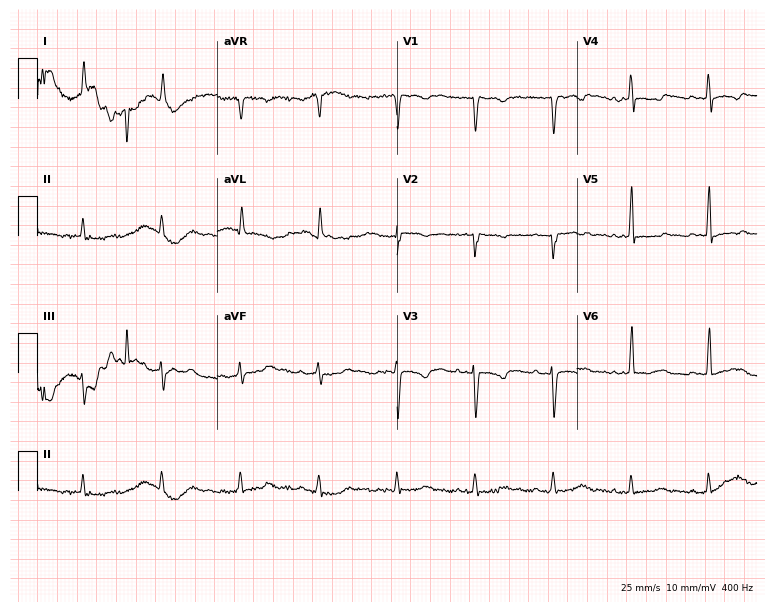
ECG — a female, 77 years old. Screened for six findings — first-degree AV block, right bundle branch block (RBBB), left bundle branch block (LBBB), sinus bradycardia, atrial fibrillation (AF), sinus tachycardia — none is recorded. Only these six findings were labelled.